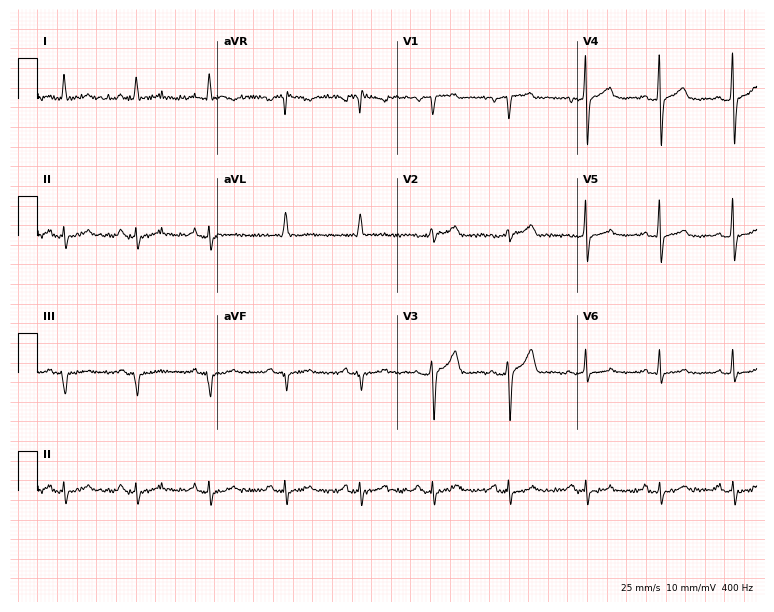
12-lead ECG from a 52-year-old woman. No first-degree AV block, right bundle branch block, left bundle branch block, sinus bradycardia, atrial fibrillation or sinus tachycardia recorded for this tracing.